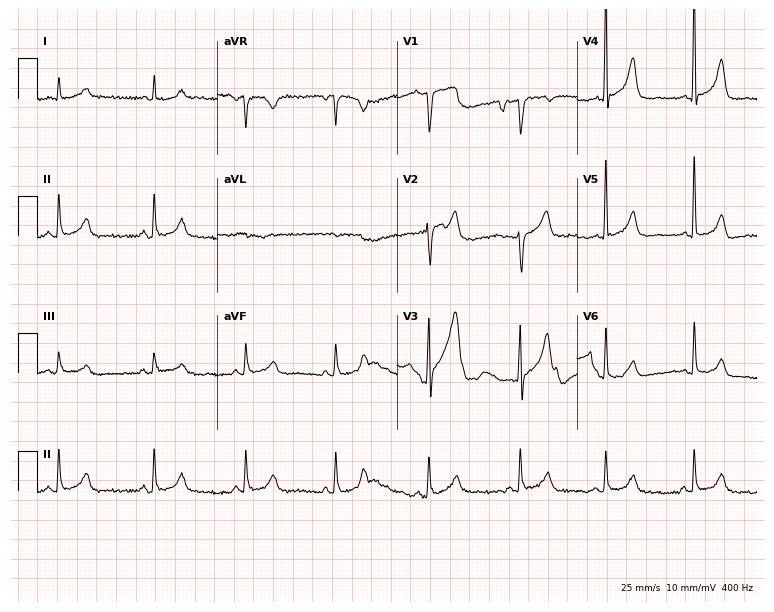
ECG — a 73-year-old male patient. Screened for six findings — first-degree AV block, right bundle branch block, left bundle branch block, sinus bradycardia, atrial fibrillation, sinus tachycardia — none is recorded. Other findings, if any, are not listed.